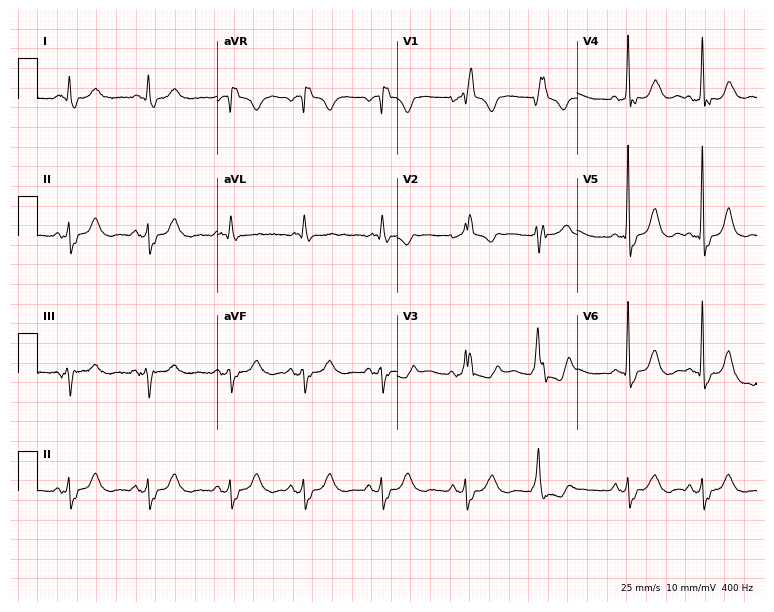
Standard 12-lead ECG recorded from an 83-year-old woman. The tracing shows right bundle branch block.